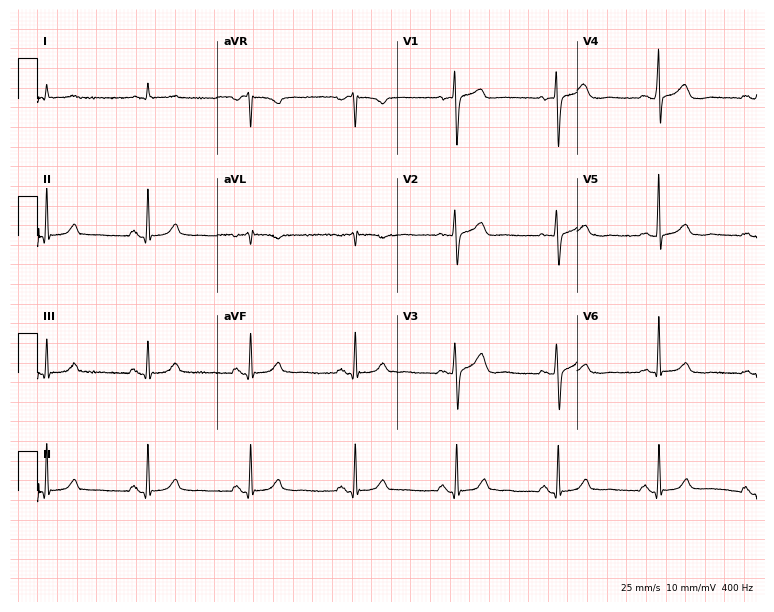
12-lead ECG from a male, 36 years old (7.3-second recording at 400 Hz). No first-degree AV block, right bundle branch block, left bundle branch block, sinus bradycardia, atrial fibrillation or sinus tachycardia recorded for this tracing.